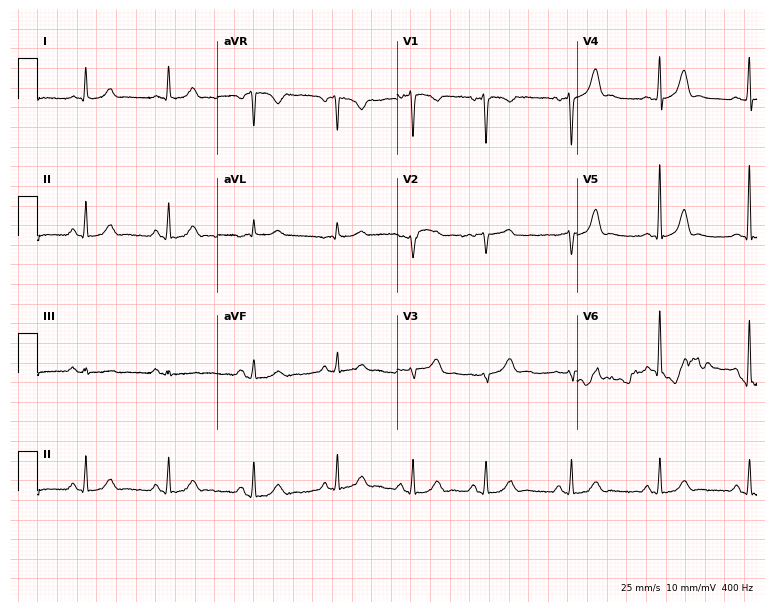
12-lead ECG from a woman, 44 years old (7.3-second recording at 400 Hz). No first-degree AV block, right bundle branch block, left bundle branch block, sinus bradycardia, atrial fibrillation or sinus tachycardia recorded for this tracing. Only these six findings were labelled.